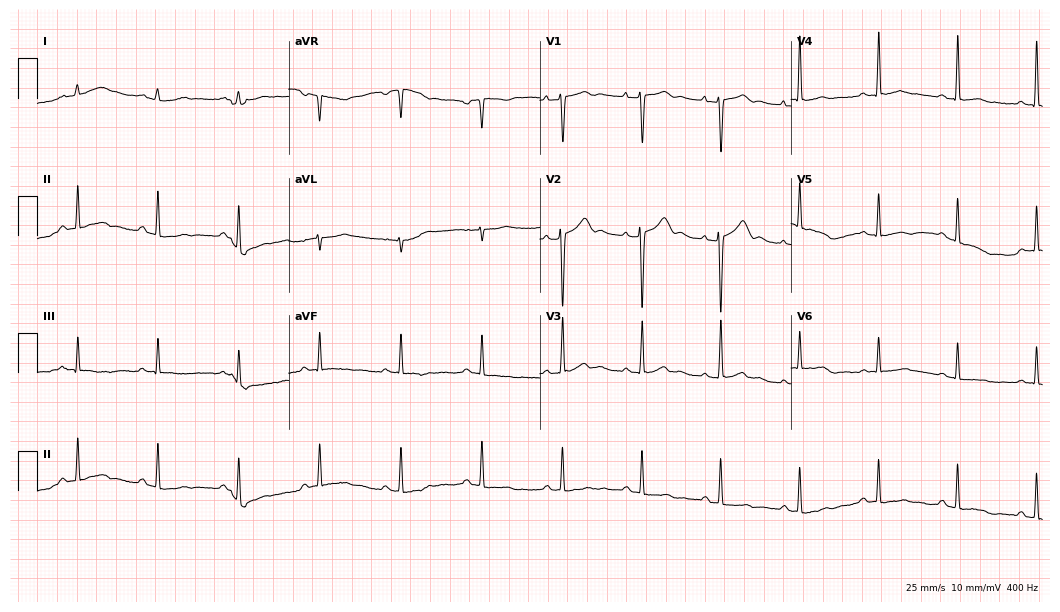
Standard 12-lead ECG recorded from a female, 25 years old (10.2-second recording at 400 Hz). None of these six findings is recorded: first-degree AV block, right bundle branch block, left bundle branch block, sinus bradycardia, atrial fibrillation, sinus tachycardia.